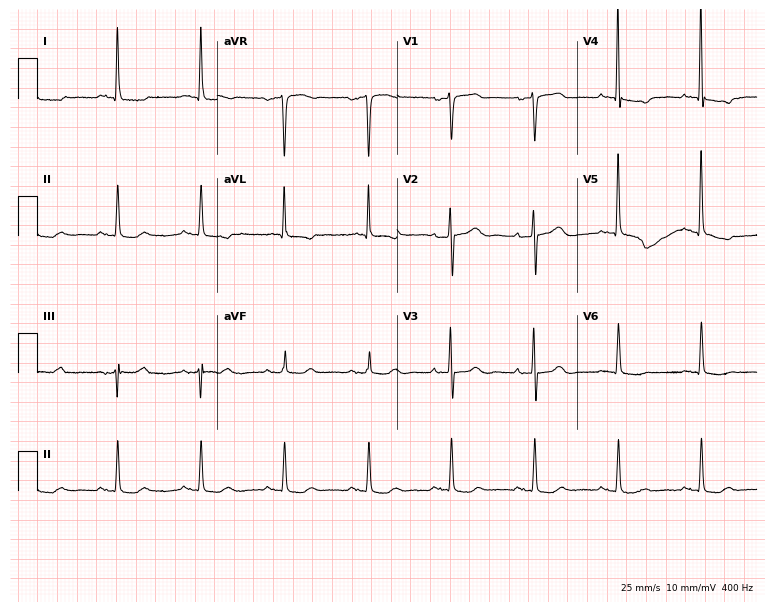
12-lead ECG (7.3-second recording at 400 Hz) from an 84-year-old female. Screened for six findings — first-degree AV block, right bundle branch block, left bundle branch block, sinus bradycardia, atrial fibrillation, sinus tachycardia — none is recorded. Findings outside these six are not listed.